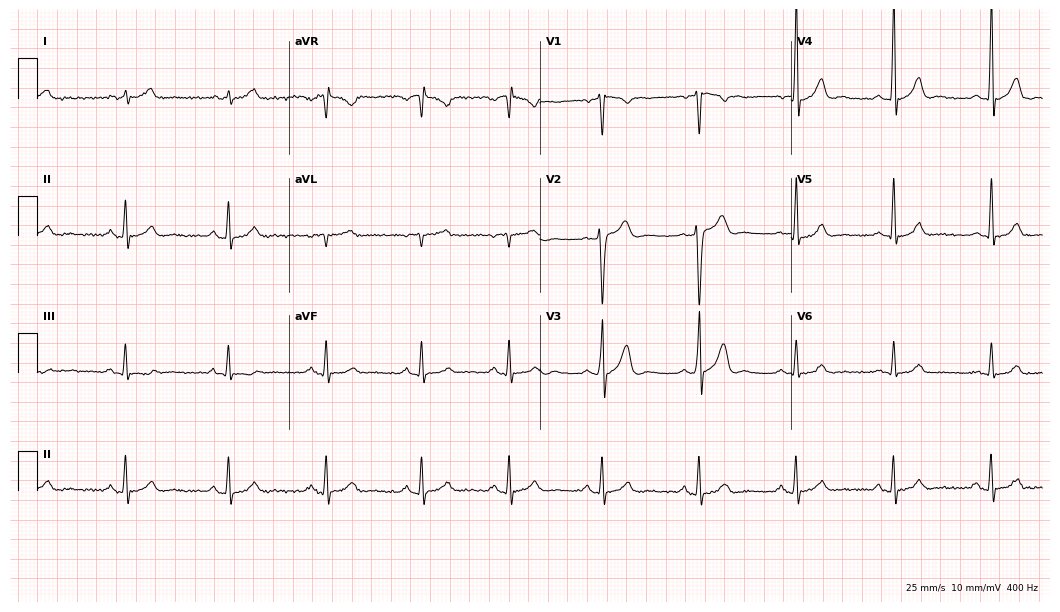
Electrocardiogram (10.2-second recording at 400 Hz), a man, 26 years old. Of the six screened findings (first-degree AV block, right bundle branch block (RBBB), left bundle branch block (LBBB), sinus bradycardia, atrial fibrillation (AF), sinus tachycardia), none is recorded. Only these six findings were labelled.